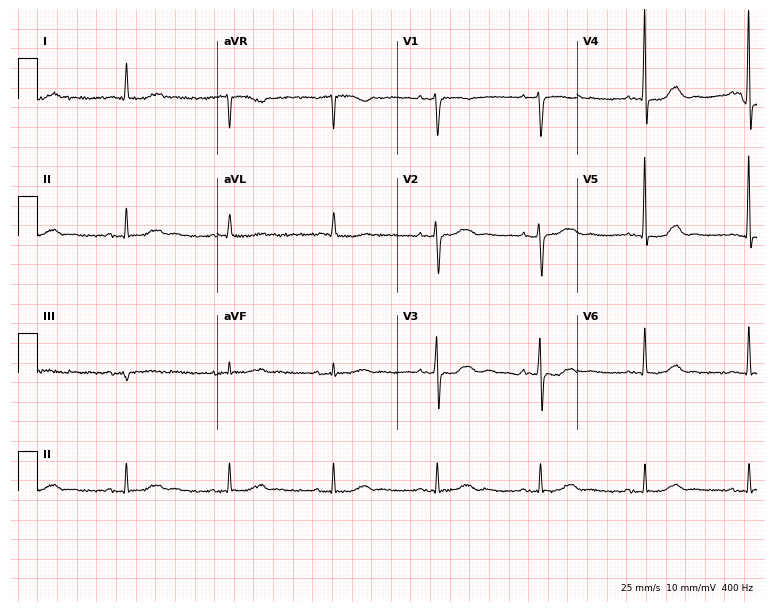
Standard 12-lead ECG recorded from a female, 67 years old (7.3-second recording at 400 Hz). None of these six findings is recorded: first-degree AV block, right bundle branch block (RBBB), left bundle branch block (LBBB), sinus bradycardia, atrial fibrillation (AF), sinus tachycardia.